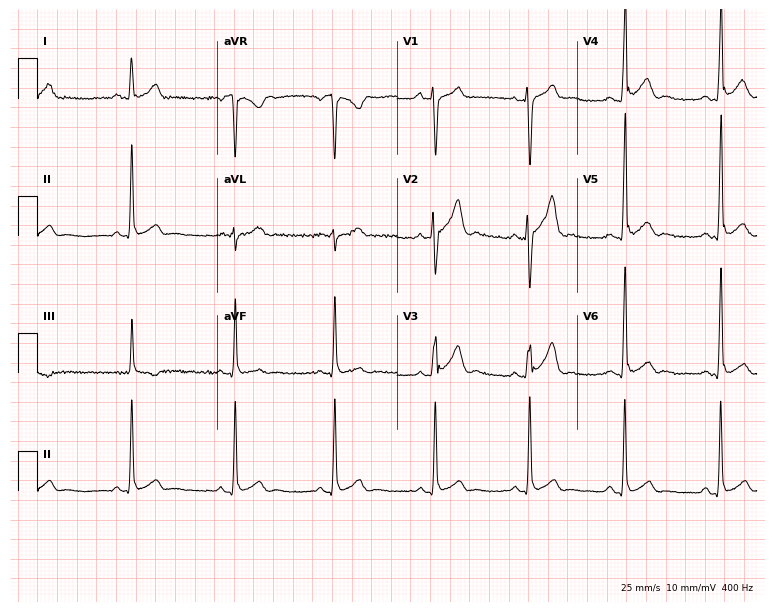
Electrocardiogram, a 21-year-old man. Of the six screened findings (first-degree AV block, right bundle branch block, left bundle branch block, sinus bradycardia, atrial fibrillation, sinus tachycardia), none is recorded. Only these six findings were labelled.